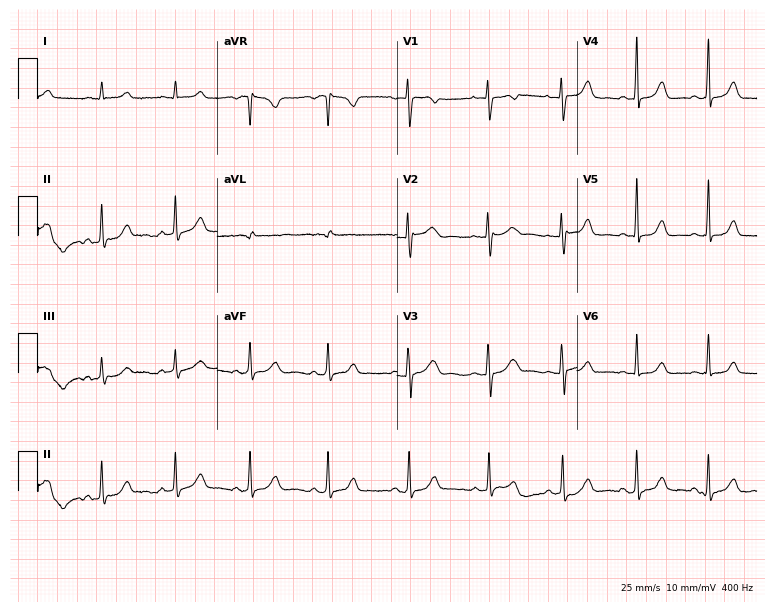
Resting 12-lead electrocardiogram. Patient: a 33-year-old female. None of these six findings is recorded: first-degree AV block, right bundle branch block, left bundle branch block, sinus bradycardia, atrial fibrillation, sinus tachycardia.